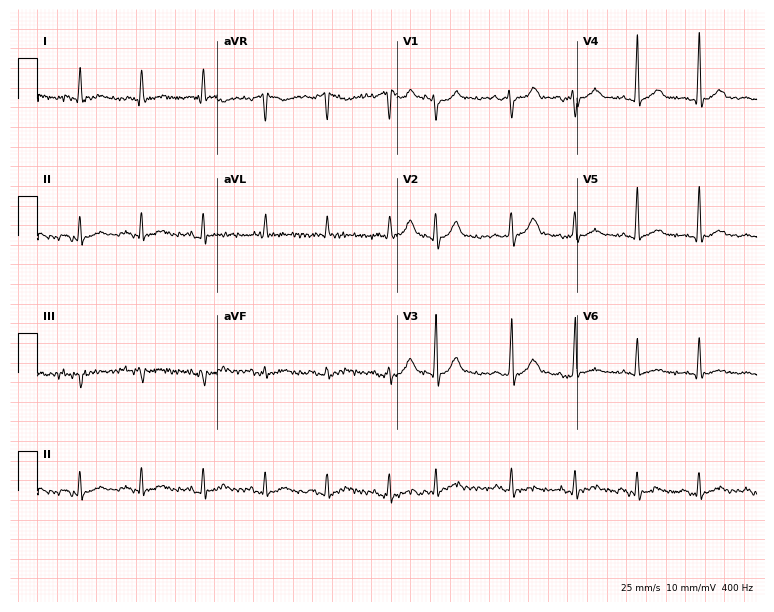
12-lead ECG from an 81-year-old male (7.3-second recording at 400 Hz). No first-degree AV block, right bundle branch block, left bundle branch block, sinus bradycardia, atrial fibrillation or sinus tachycardia recorded for this tracing.